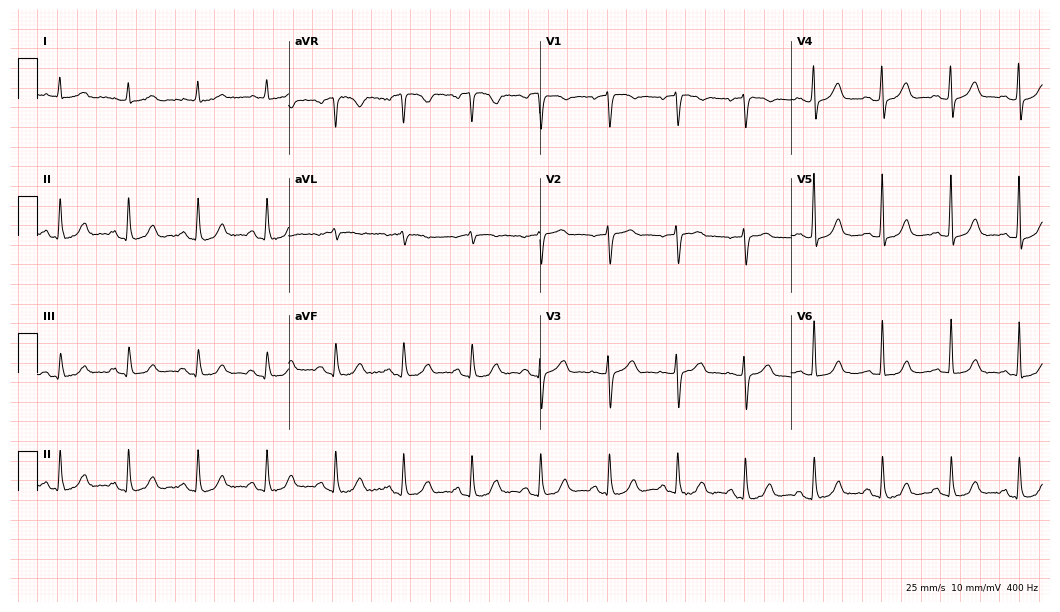
Standard 12-lead ECG recorded from a female patient, 78 years old (10.2-second recording at 400 Hz). Read as a normal ECG.